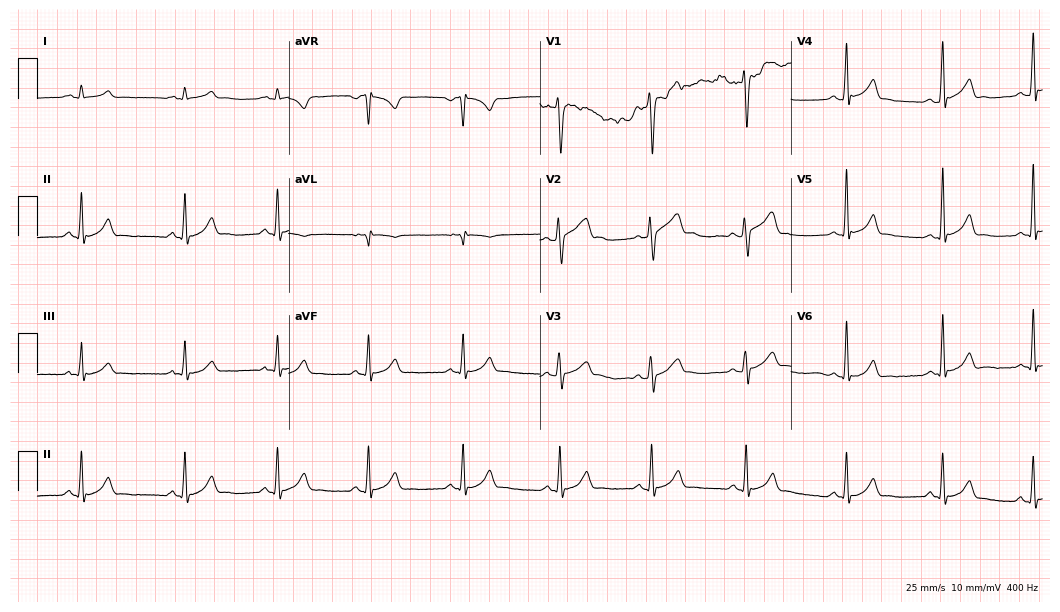
Electrocardiogram, a 19-year-old female. Overall reading on record: normal ECG.